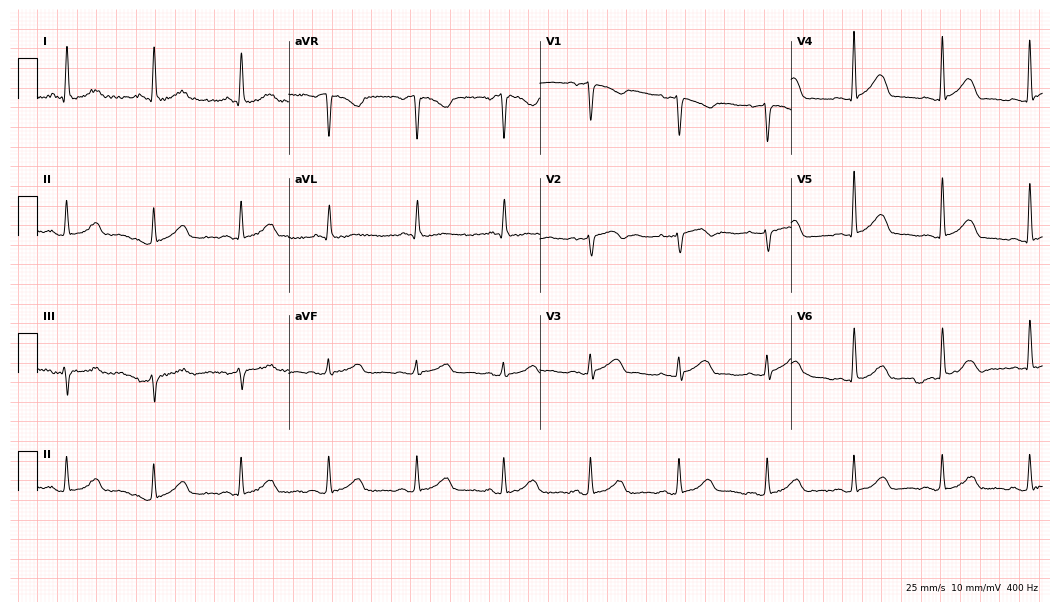
Resting 12-lead electrocardiogram. Patient: an 85-year-old female. Read as a normal ECG.